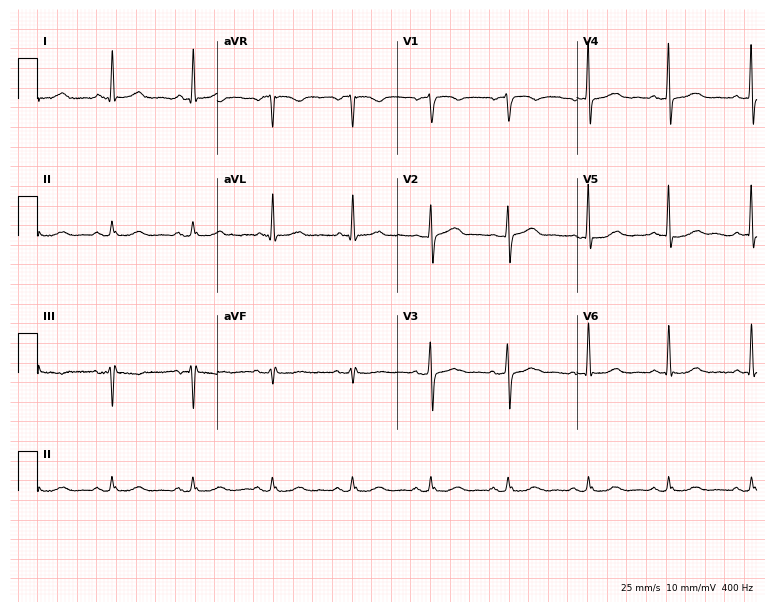
Electrocardiogram, a 79-year-old male. Of the six screened findings (first-degree AV block, right bundle branch block, left bundle branch block, sinus bradycardia, atrial fibrillation, sinus tachycardia), none is recorded.